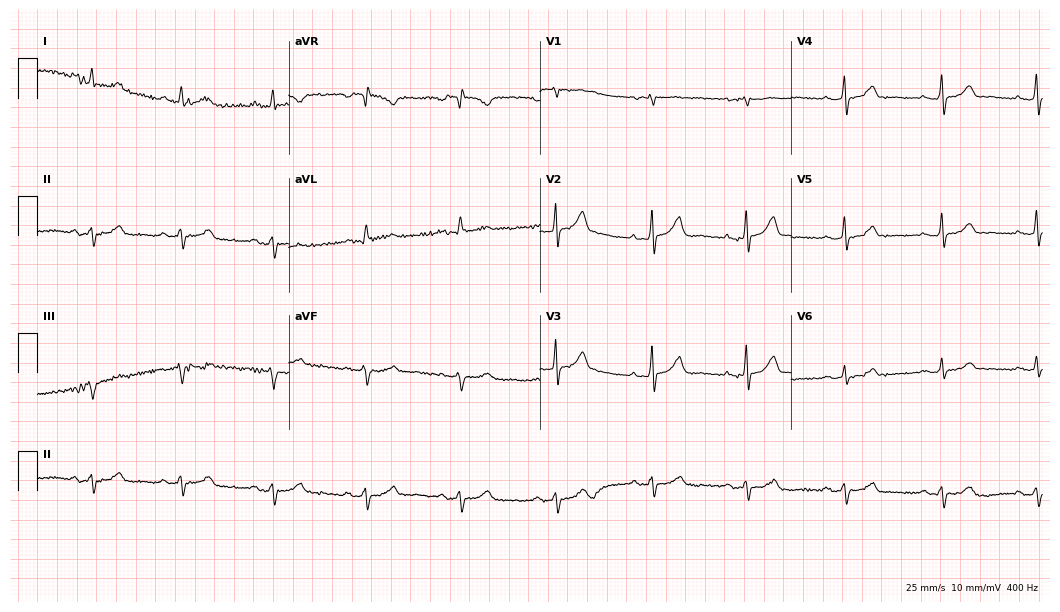
12-lead ECG from a 55-year-old woman. No first-degree AV block, right bundle branch block, left bundle branch block, sinus bradycardia, atrial fibrillation or sinus tachycardia recorded for this tracing.